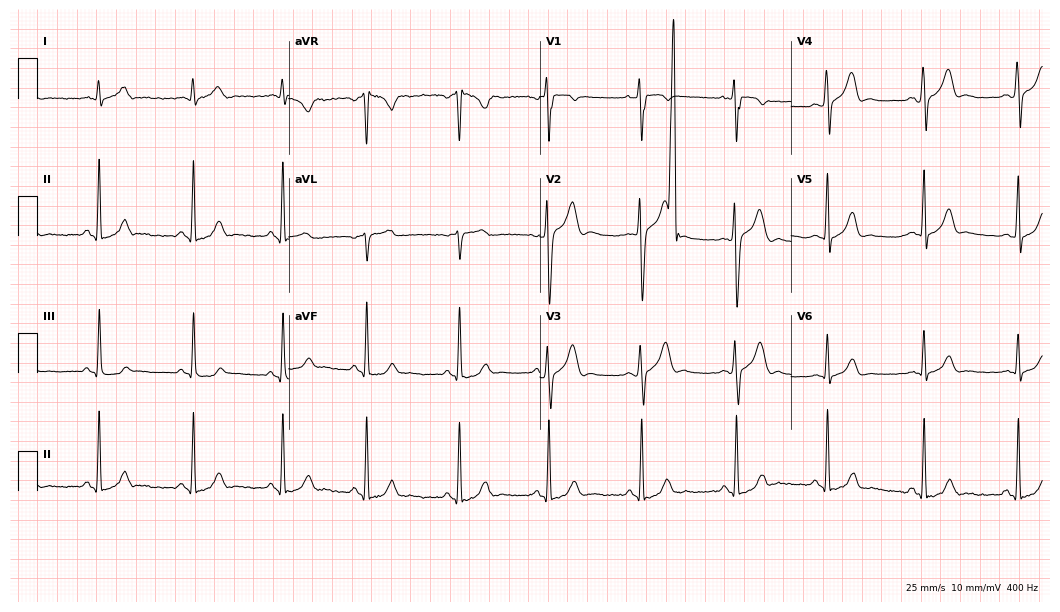
Standard 12-lead ECG recorded from a male, 24 years old (10.2-second recording at 400 Hz). Read as a normal ECG.